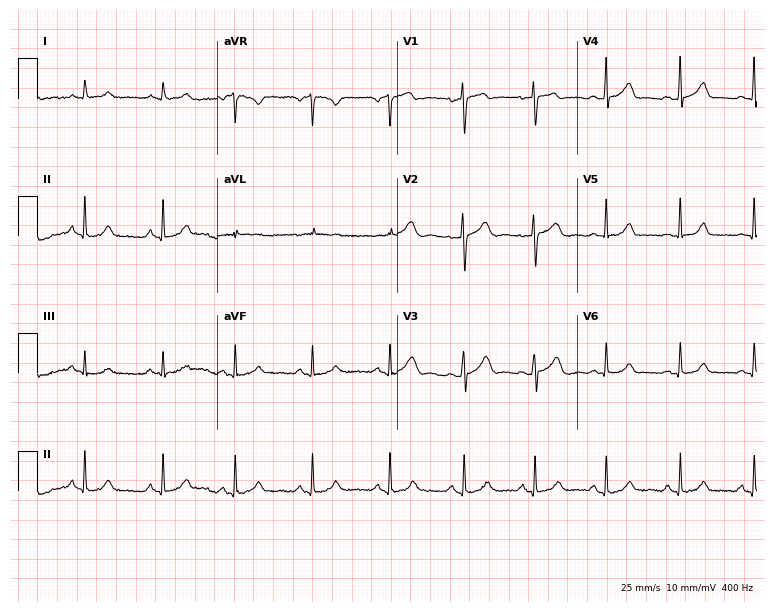
ECG (7.3-second recording at 400 Hz) — a 31-year-old woman. Labelled as a normal ECG.